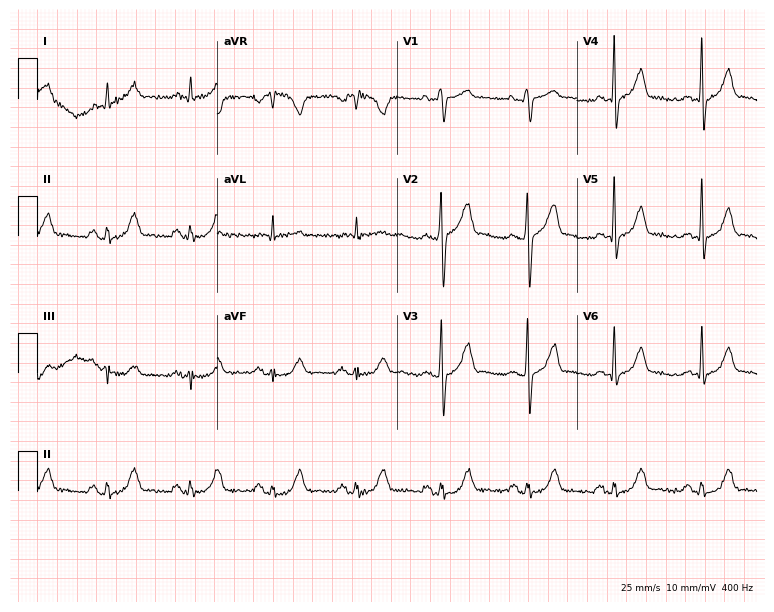
ECG (7.3-second recording at 400 Hz) — a 65-year-old man. Screened for six findings — first-degree AV block, right bundle branch block, left bundle branch block, sinus bradycardia, atrial fibrillation, sinus tachycardia — none is recorded.